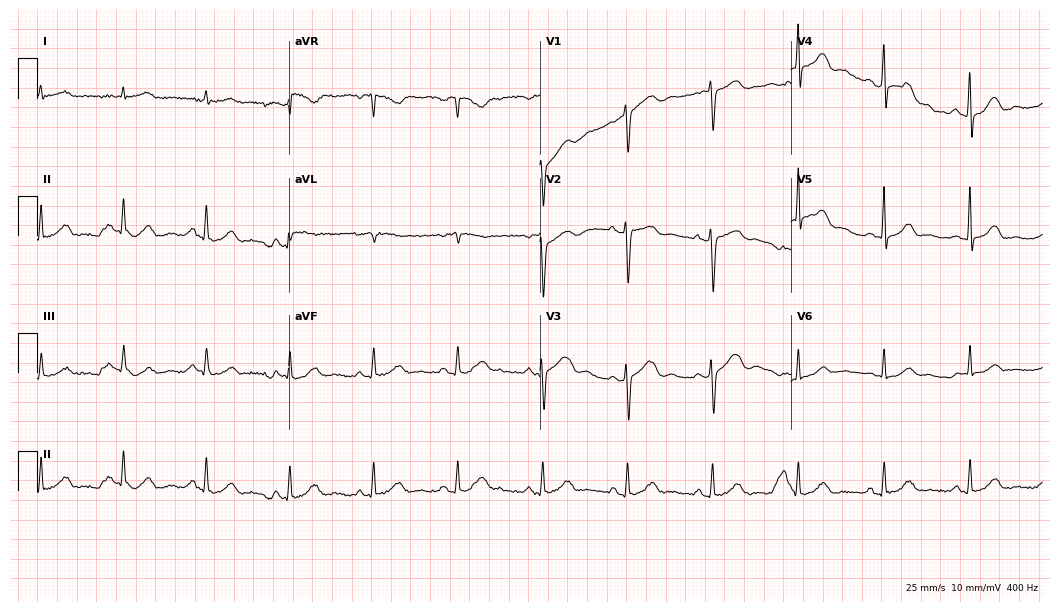
Resting 12-lead electrocardiogram. Patient: a male, 69 years old. None of these six findings is recorded: first-degree AV block, right bundle branch block (RBBB), left bundle branch block (LBBB), sinus bradycardia, atrial fibrillation (AF), sinus tachycardia. Findings outside these six are not listed.